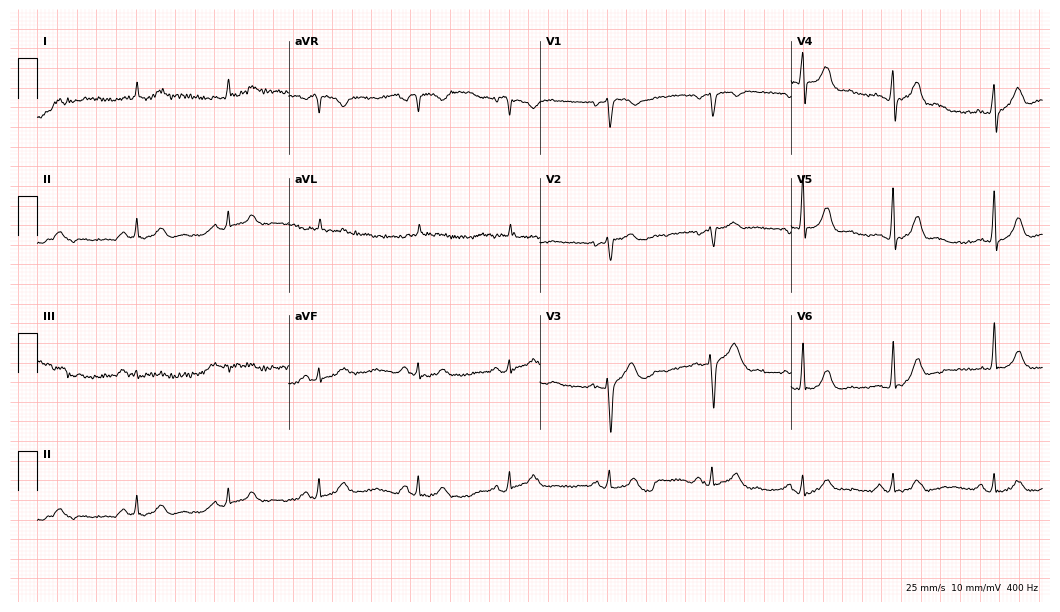
Electrocardiogram, a 61-year-old man. Overall reading on record: normal ECG.